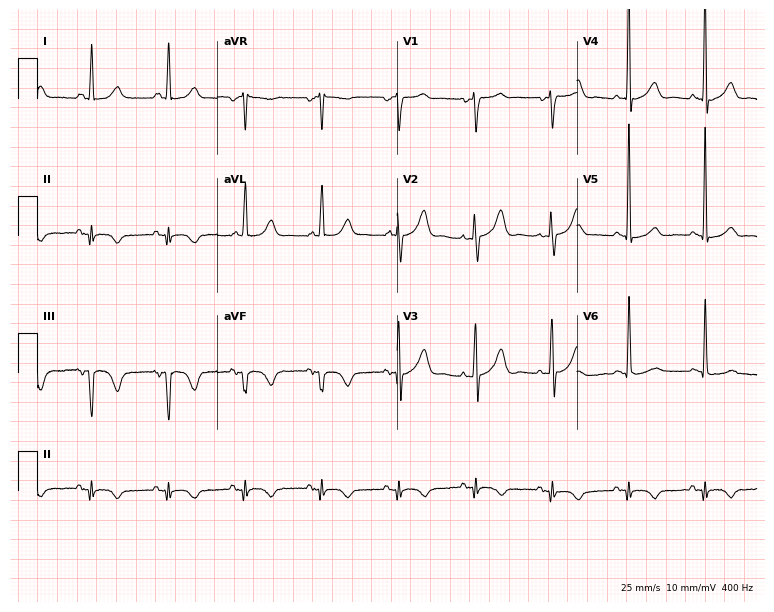
Resting 12-lead electrocardiogram (7.3-second recording at 400 Hz). Patient: a male, 69 years old. Read as a normal ECG.